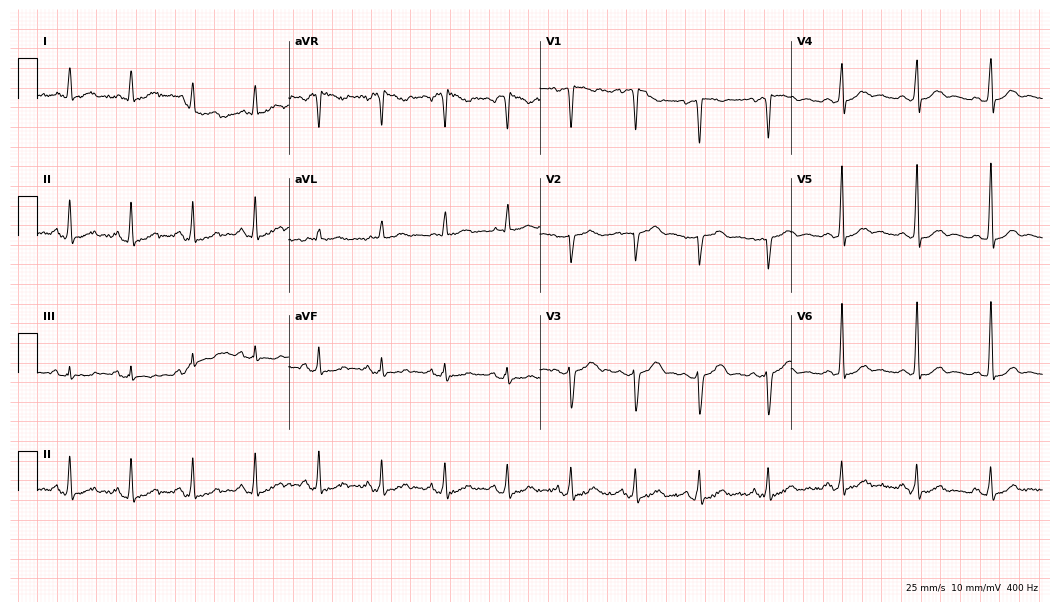
Standard 12-lead ECG recorded from a woman, 46 years old. None of these six findings is recorded: first-degree AV block, right bundle branch block, left bundle branch block, sinus bradycardia, atrial fibrillation, sinus tachycardia.